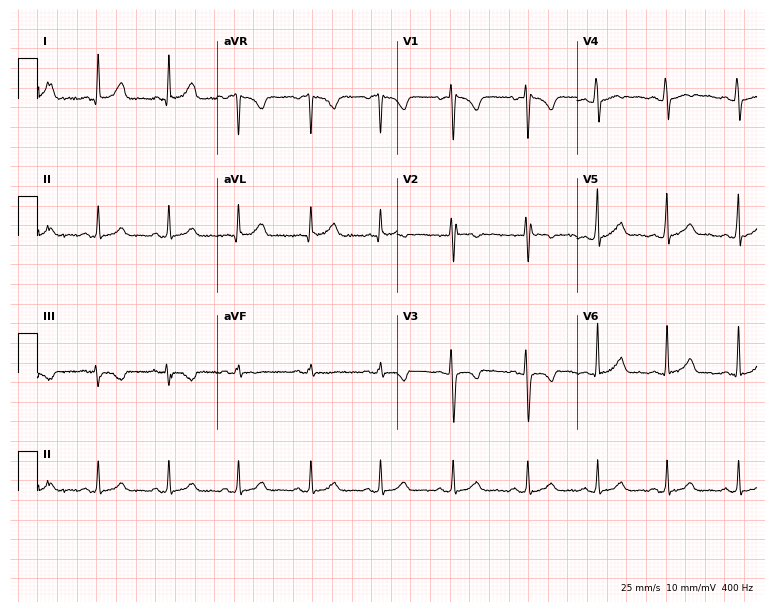
Standard 12-lead ECG recorded from a 19-year-old female (7.3-second recording at 400 Hz). Read as a normal ECG.